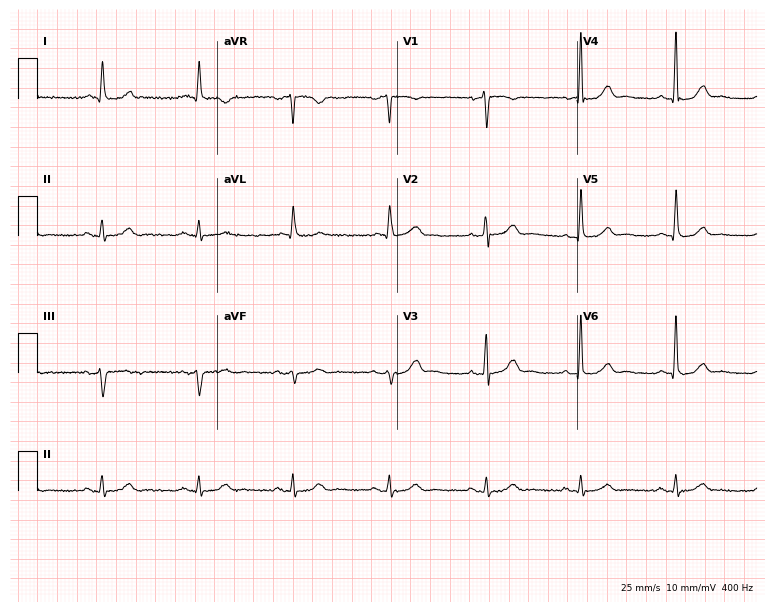
Electrocardiogram (7.3-second recording at 400 Hz), a man, 70 years old. Overall reading on record: normal ECG.